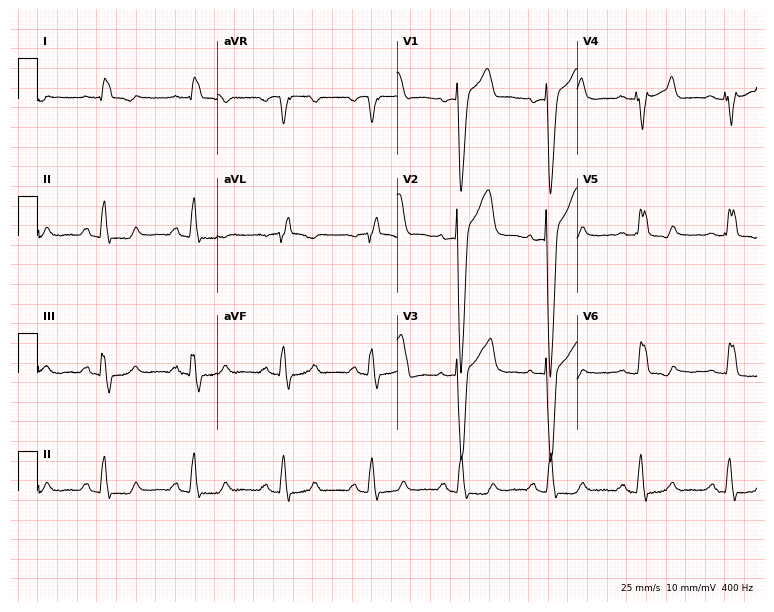
Electrocardiogram (7.3-second recording at 400 Hz), a 79-year-old male patient. Interpretation includes left bundle branch block (LBBB).